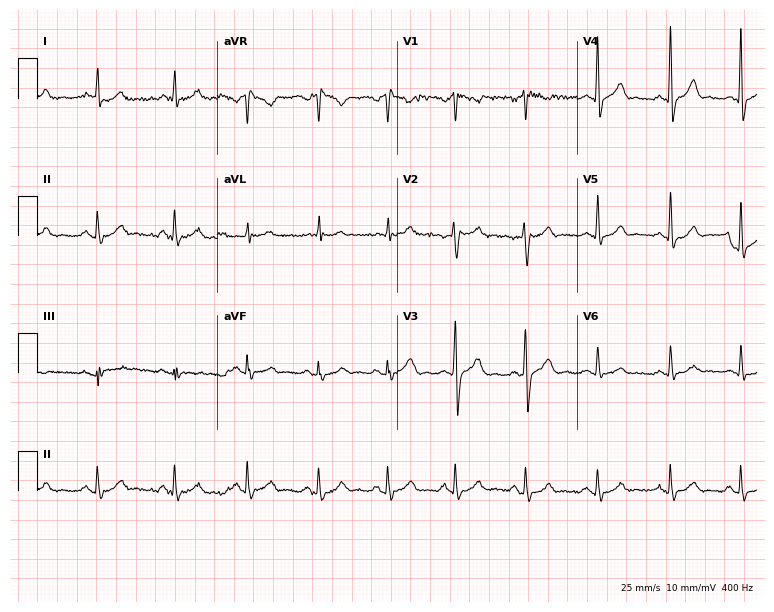
Electrocardiogram, a male patient, 42 years old. Of the six screened findings (first-degree AV block, right bundle branch block (RBBB), left bundle branch block (LBBB), sinus bradycardia, atrial fibrillation (AF), sinus tachycardia), none is recorded.